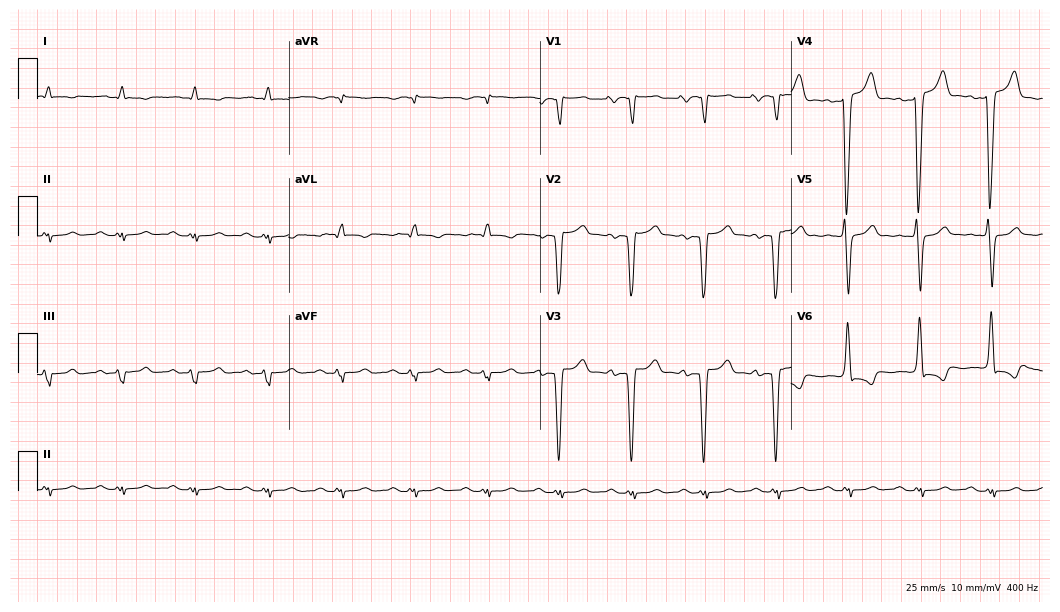
ECG — a 72-year-old man. Screened for six findings — first-degree AV block, right bundle branch block, left bundle branch block, sinus bradycardia, atrial fibrillation, sinus tachycardia — none is recorded. Findings outside these six are not listed.